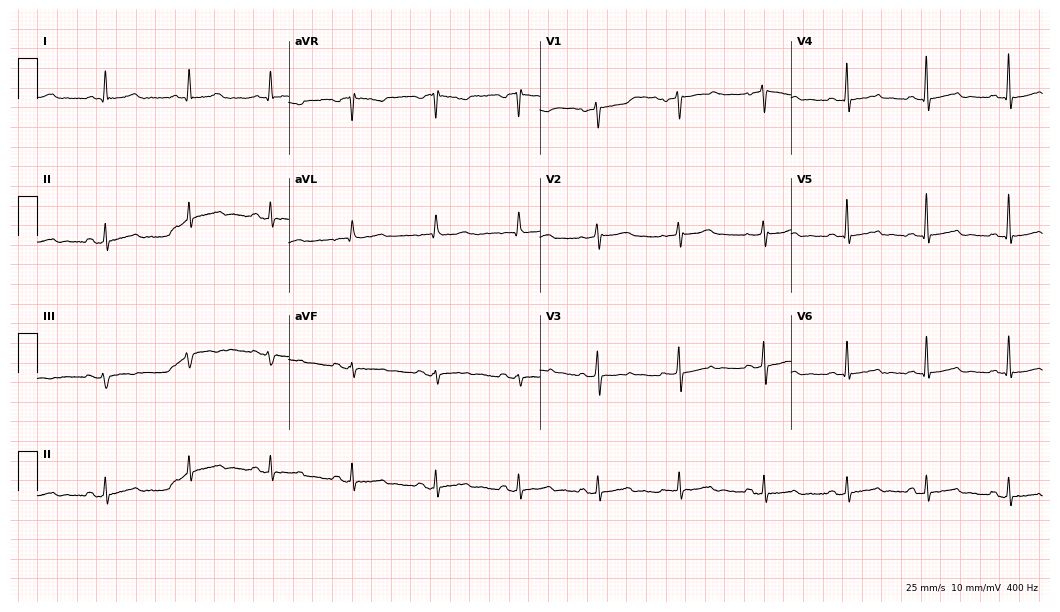
12-lead ECG from a 71-year-old female (10.2-second recording at 400 Hz). Recorded interpretation: within normal limits.